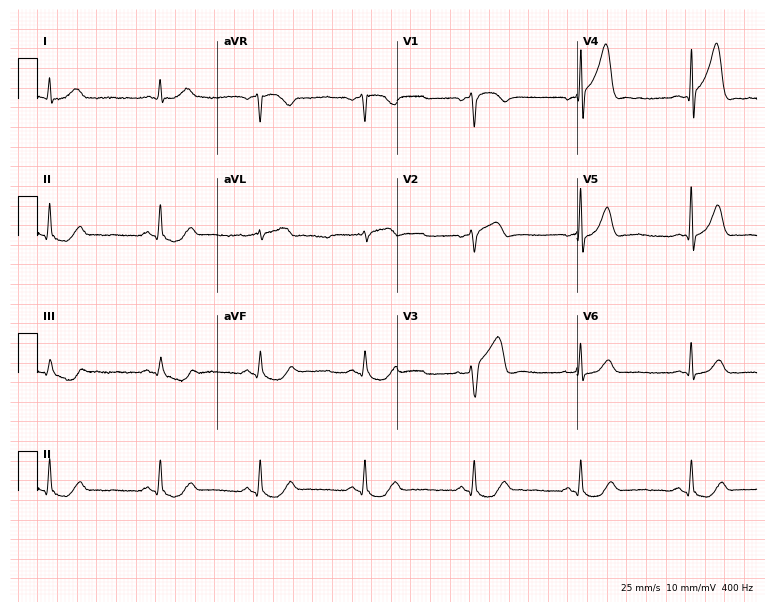
Resting 12-lead electrocardiogram. Patient: a 48-year-old male. None of these six findings is recorded: first-degree AV block, right bundle branch block, left bundle branch block, sinus bradycardia, atrial fibrillation, sinus tachycardia. Findings outside these six are not listed.